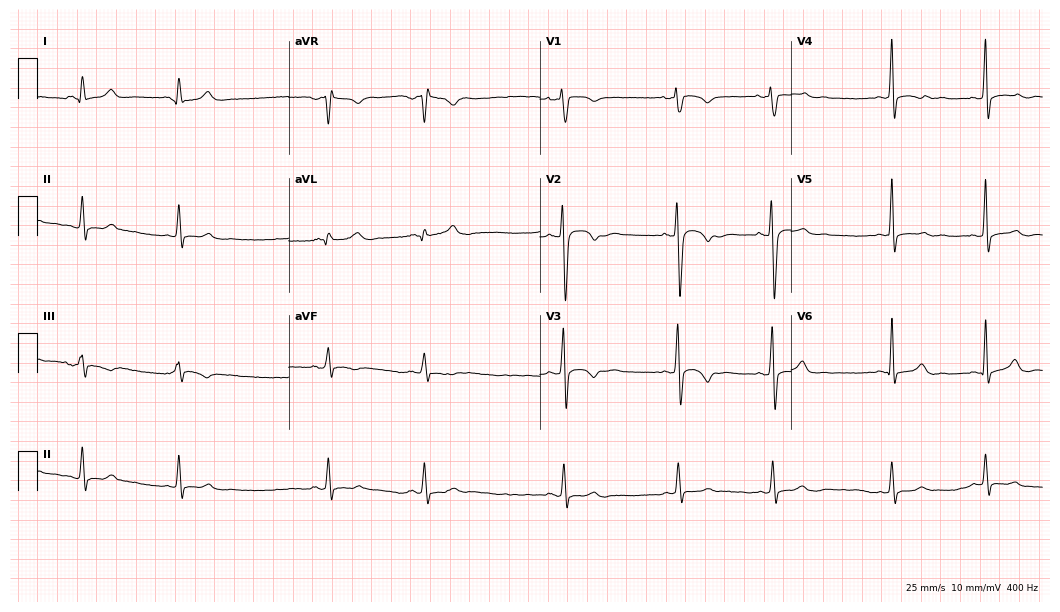
Electrocardiogram (10.2-second recording at 400 Hz), a 22-year-old man. Of the six screened findings (first-degree AV block, right bundle branch block, left bundle branch block, sinus bradycardia, atrial fibrillation, sinus tachycardia), none is recorded. Only these six findings were labelled.